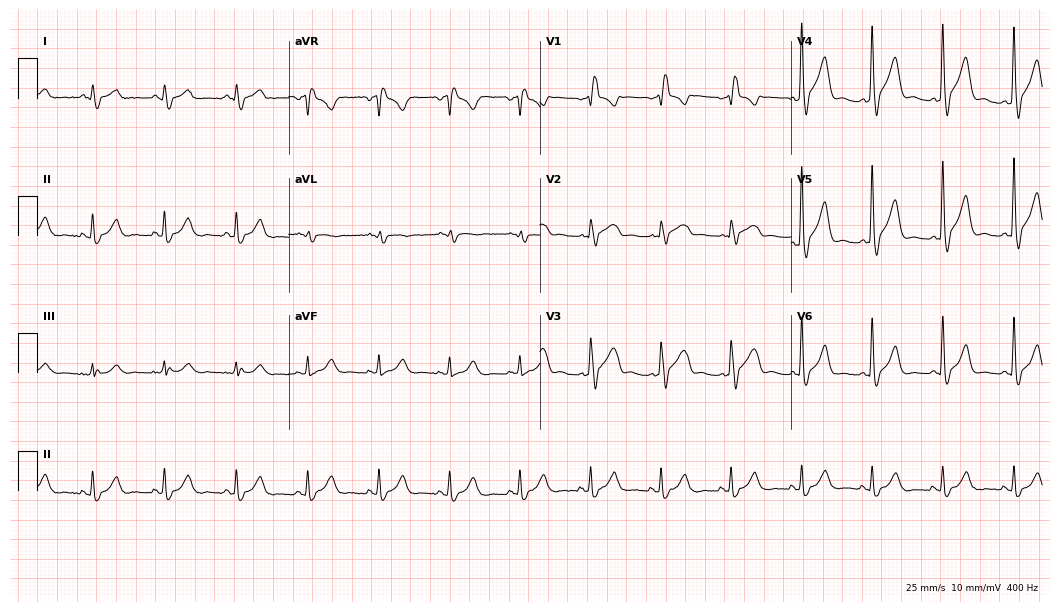
12-lead ECG from an 80-year-old man. Findings include right bundle branch block.